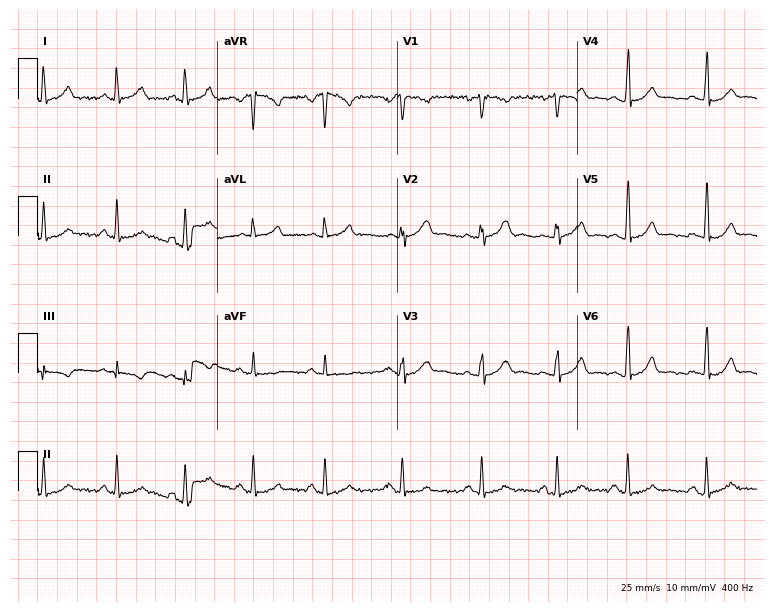
Resting 12-lead electrocardiogram. Patient: a 27-year-old woman. Read as a normal ECG.